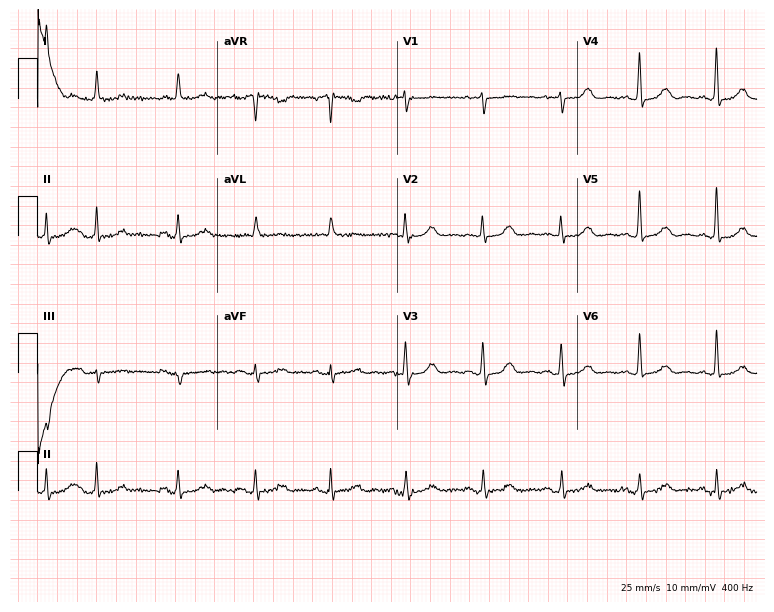
ECG (7.3-second recording at 400 Hz) — a 79-year-old woman. Labelled as a normal ECG.